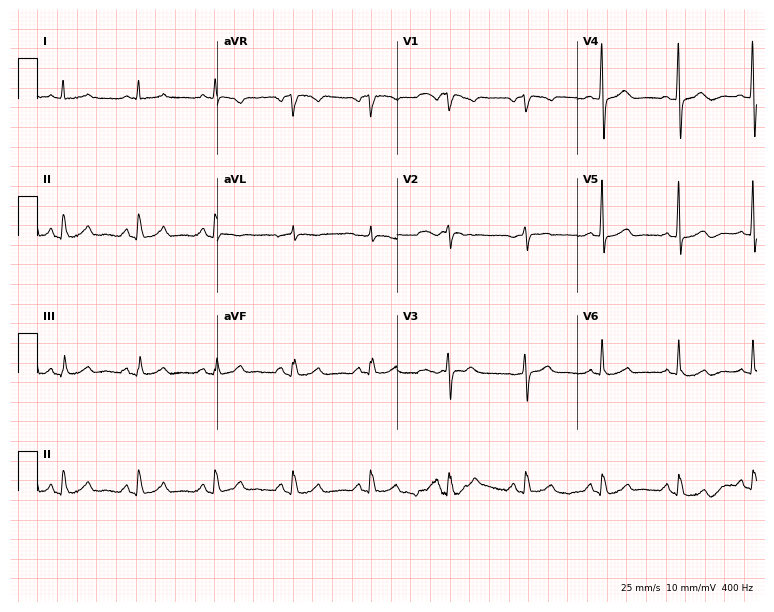
Electrocardiogram (7.3-second recording at 400 Hz), a 69-year-old female patient. Of the six screened findings (first-degree AV block, right bundle branch block (RBBB), left bundle branch block (LBBB), sinus bradycardia, atrial fibrillation (AF), sinus tachycardia), none is recorded. Other findings, if any, are not listed.